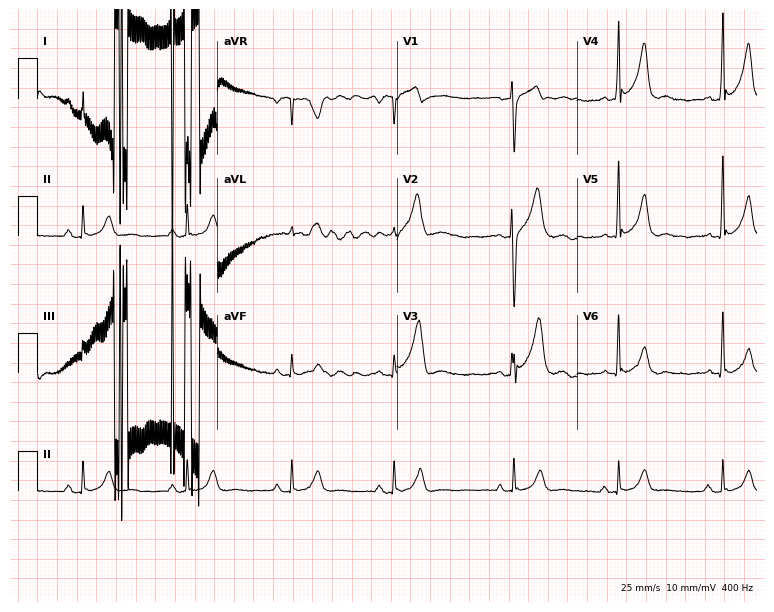
Standard 12-lead ECG recorded from a male patient, 33 years old (7.3-second recording at 400 Hz). None of these six findings is recorded: first-degree AV block, right bundle branch block (RBBB), left bundle branch block (LBBB), sinus bradycardia, atrial fibrillation (AF), sinus tachycardia.